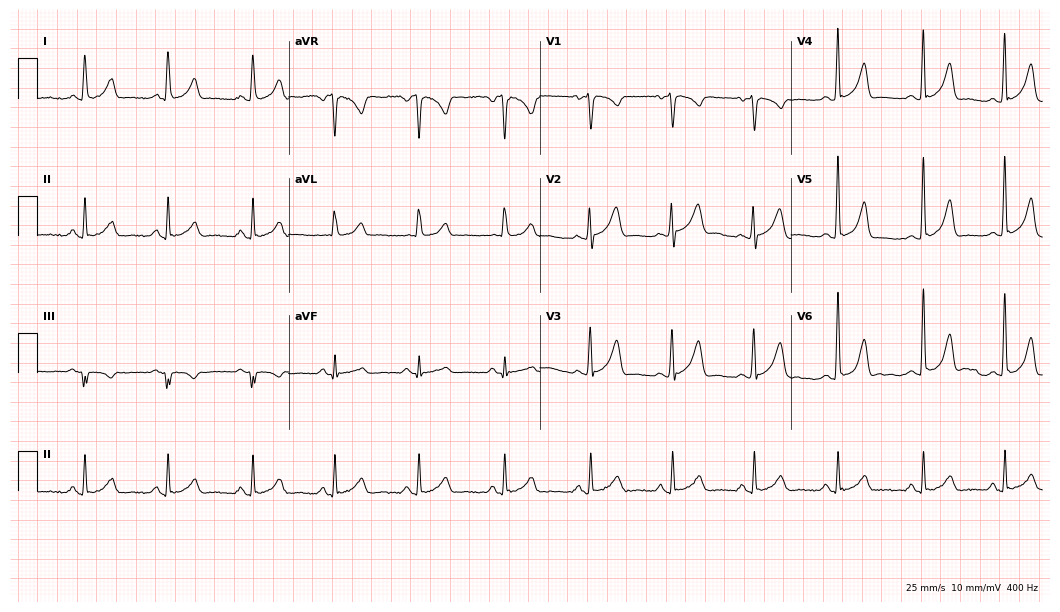
Electrocardiogram, a 42-year-old woman. Overall reading on record: normal ECG.